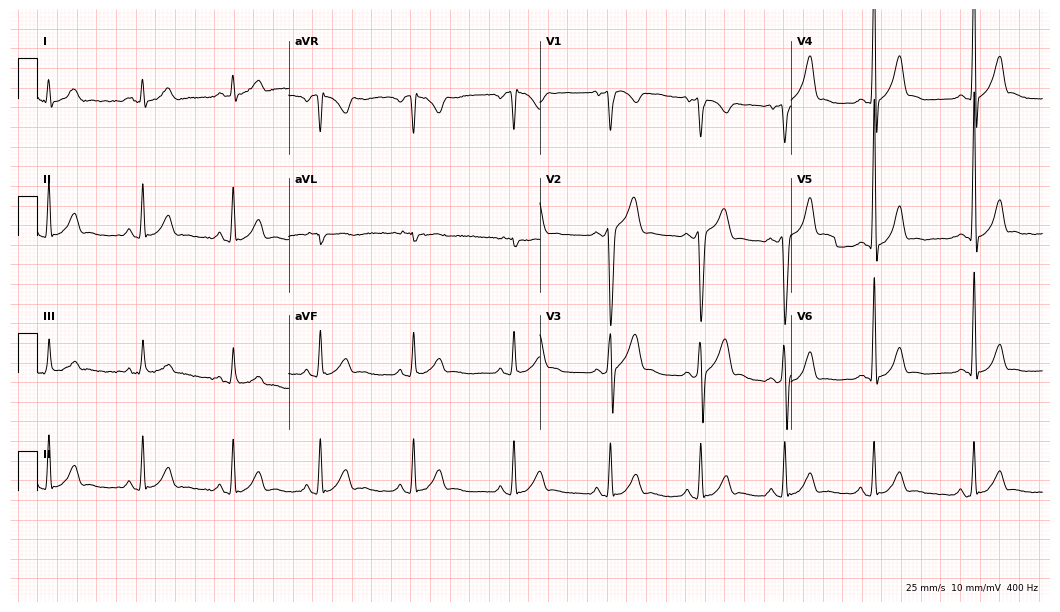
Resting 12-lead electrocardiogram. Patient: a man, 24 years old. None of these six findings is recorded: first-degree AV block, right bundle branch block (RBBB), left bundle branch block (LBBB), sinus bradycardia, atrial fibrillation (AF), sinus tachycardia. Only these six findings were labelled.